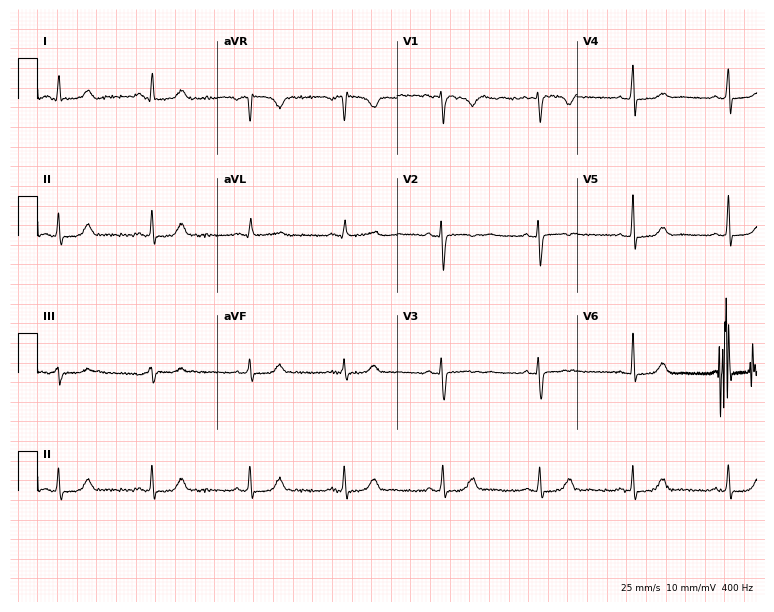
12-lead ECG from a 25-year-old female. Labelled as a normal ECG.